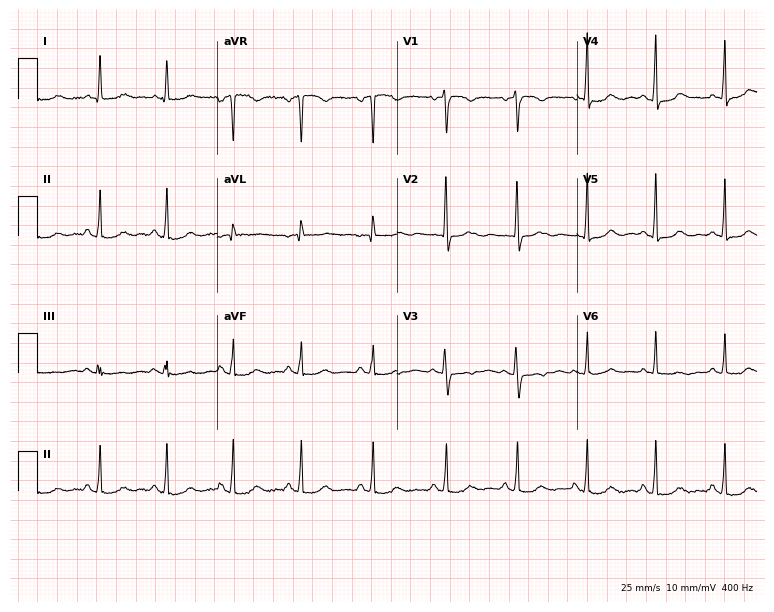
ECG (7.3-second recording at 400 Hz) — a 61-year-old woman. Screened for six findings — first-degree AV block, right bundle branch block, left bundle branch block, sinus bradycardia, atrial fibrillation, sinus tachycardia — none is recorded. Only these six findings were labelled.